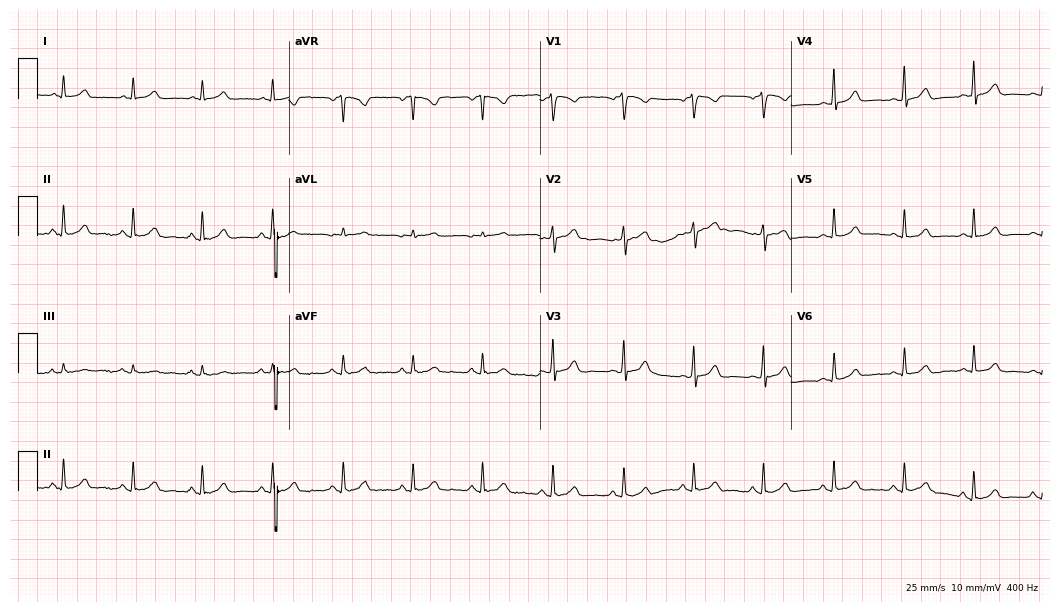
ECG — a 26-year-old female. Labelled as a normal ECG.